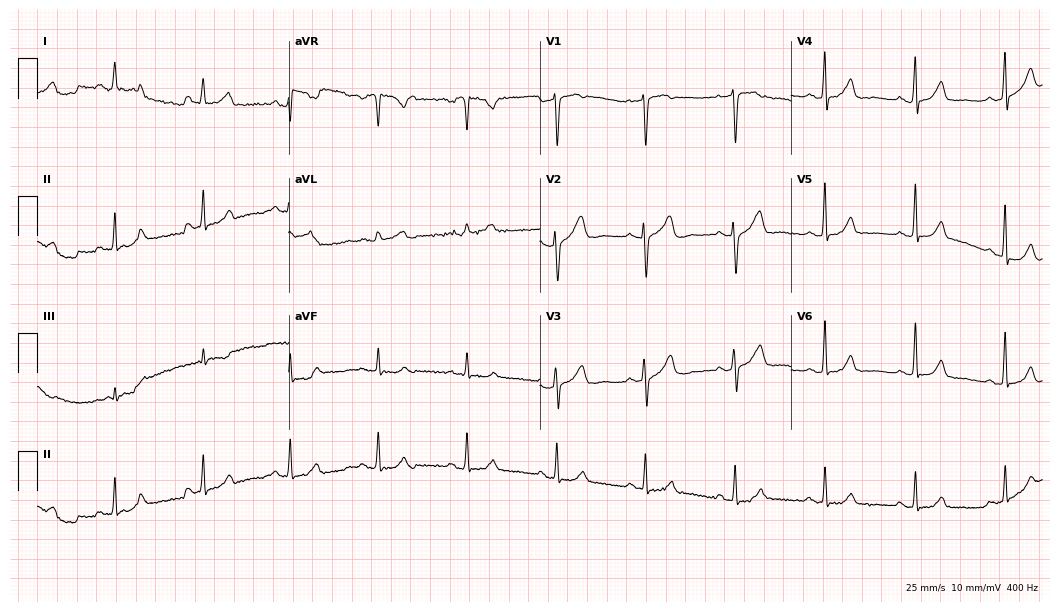
12-lead ECG from a female, 51 years old. Recorded interpretation: within normal limits.